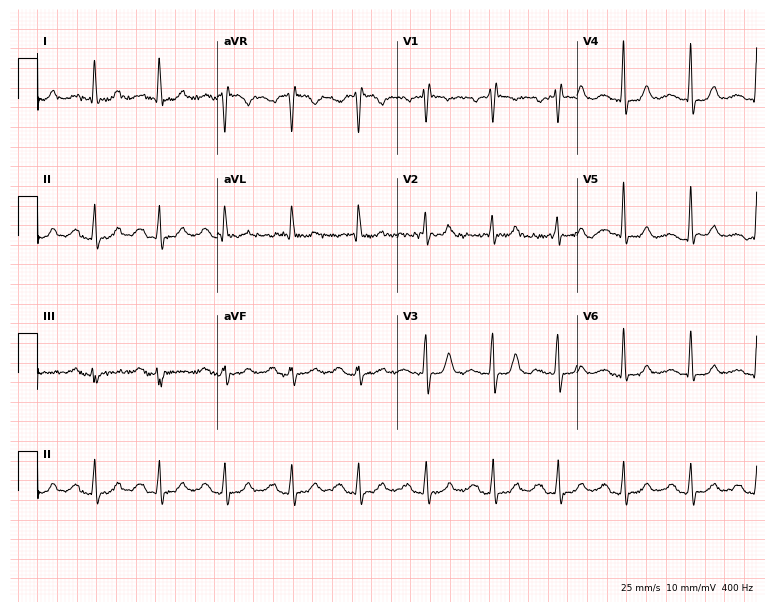
ECG — a 65-year-old woman. Labelled as a normal ECG.